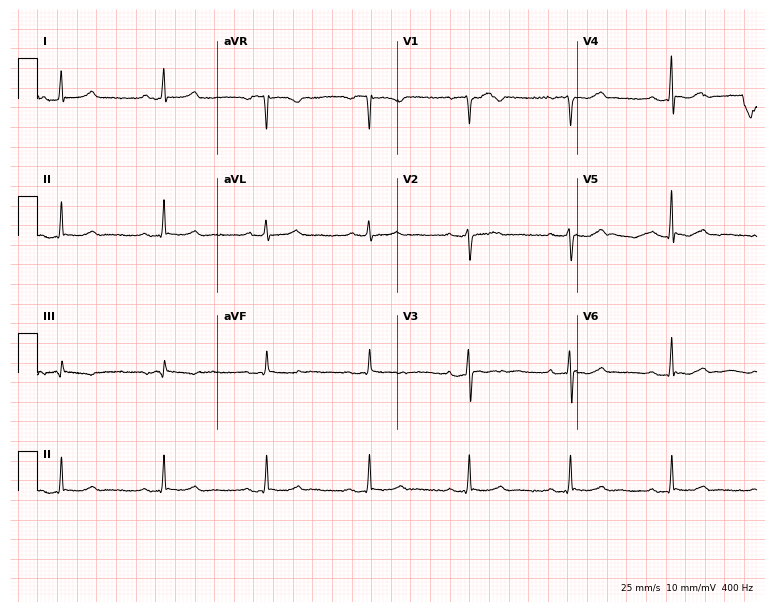
12-lead ECG (7.3-second recording at 400 Hz) from a 75-year-old male. Labelled as a normal ECG.